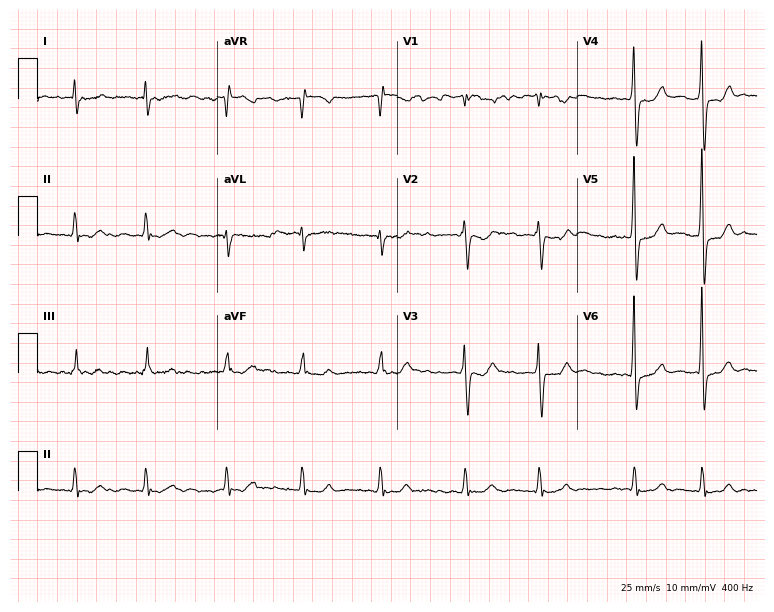
12-lead ECG (7.3-second recording at 400 Hz) from a 57-year-old female. Findings include atrial fibrillation.